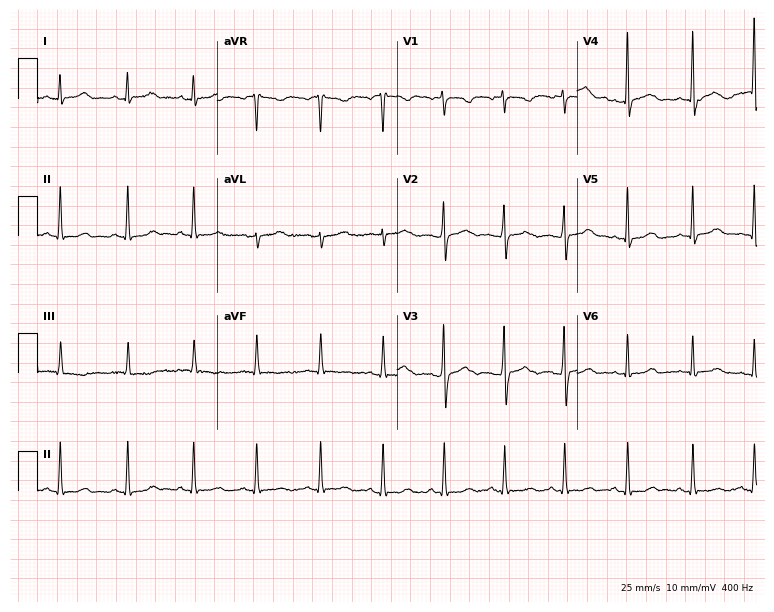
12-lead ECG from a 17-year-old female. Labelled as a normal ECG.